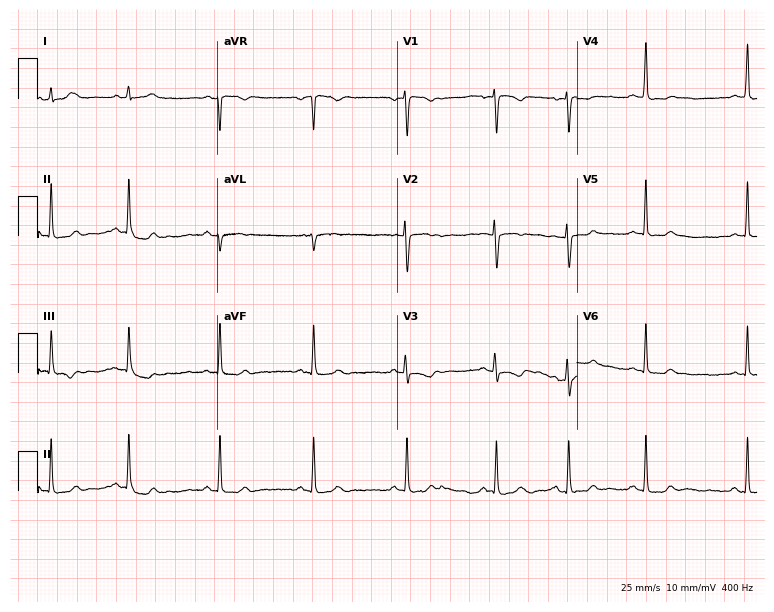
12-lead ECG (7.3-second recording at 400 Hz) from a 21-year-old woman. Labelled as a normal ECG.